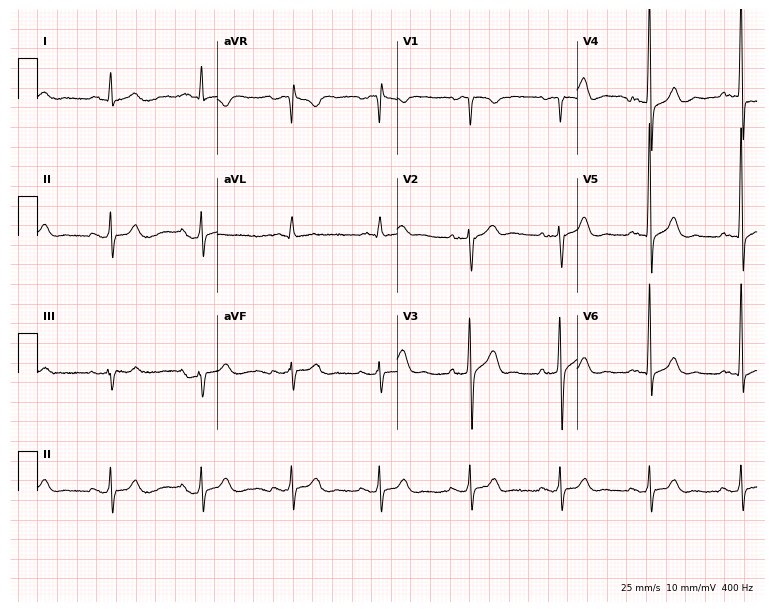
12-lead ECG (7.3-second recording at 400 Hz) from a 66-year-old man. Screened for six findings — first-degree AV block, right bundle branch block, left bundle branch block, sinus bradycardia, atrial fibrillation, sinus tachycardia — none is recorded.